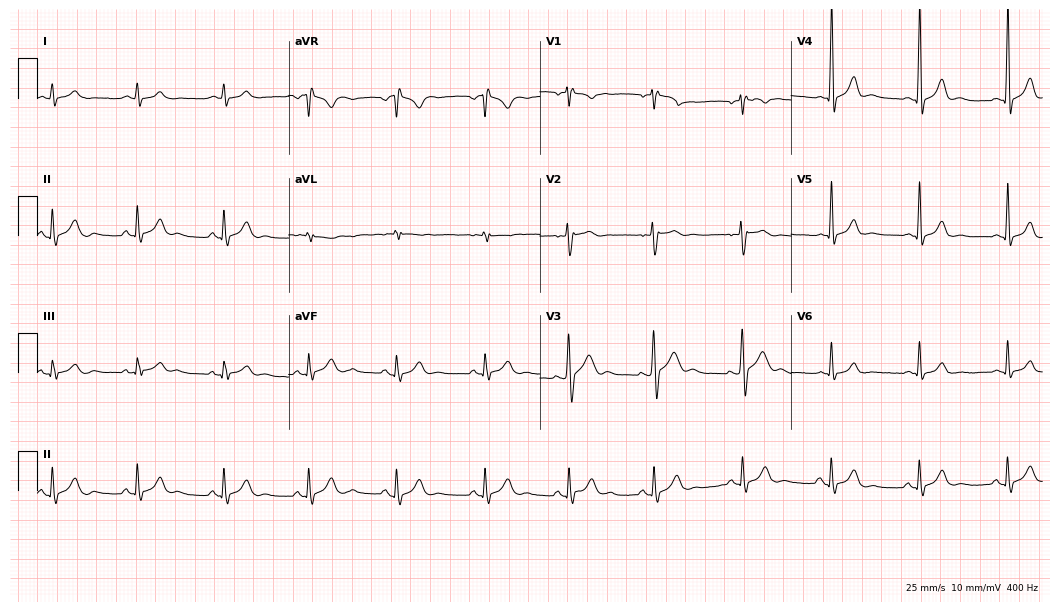
Resting 12-lead electrocardiogram. Patient: a male, 18 years old. Read as a normal ECG.